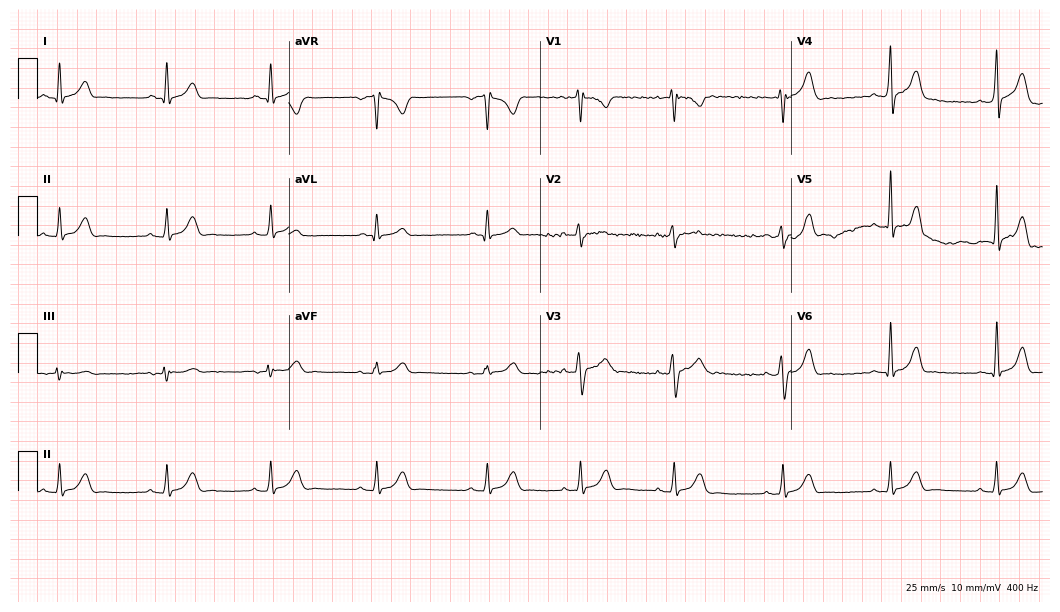
Electrocardiogram, a 23-year-old female. Overall reading on record: normal ECG.